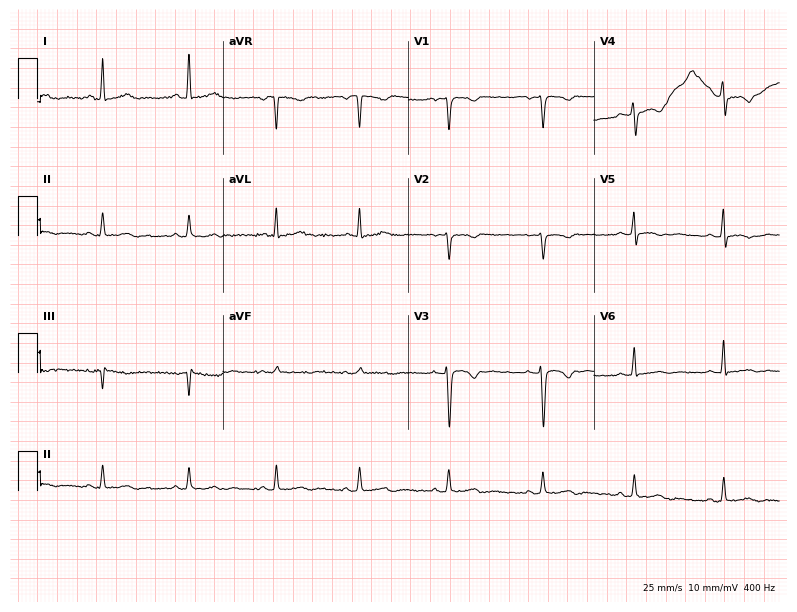
Resting 12-lead electrocardiogram. Patient: a 30-year-old female. None of these six findings is recorded: first-degree AV block, right bundle branch block, left bundle branch block, sinus bradycardia, atrial fibrillation, sinus tachycardia.